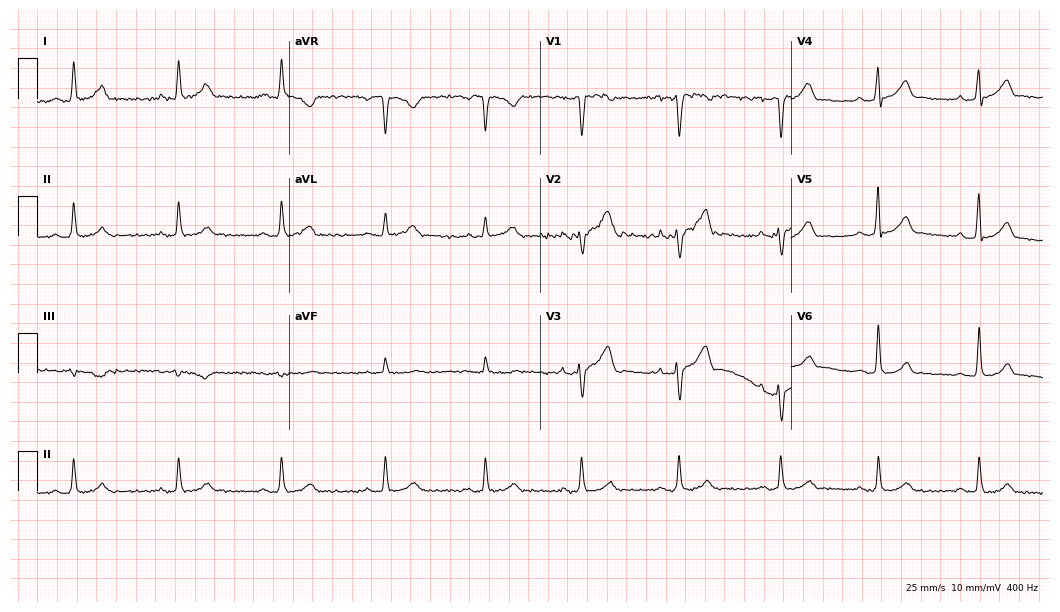
Electrocardiogram (10.2-second recording at 400 Hz), a 44-year-old man. Overall reading on record: normal ECG.